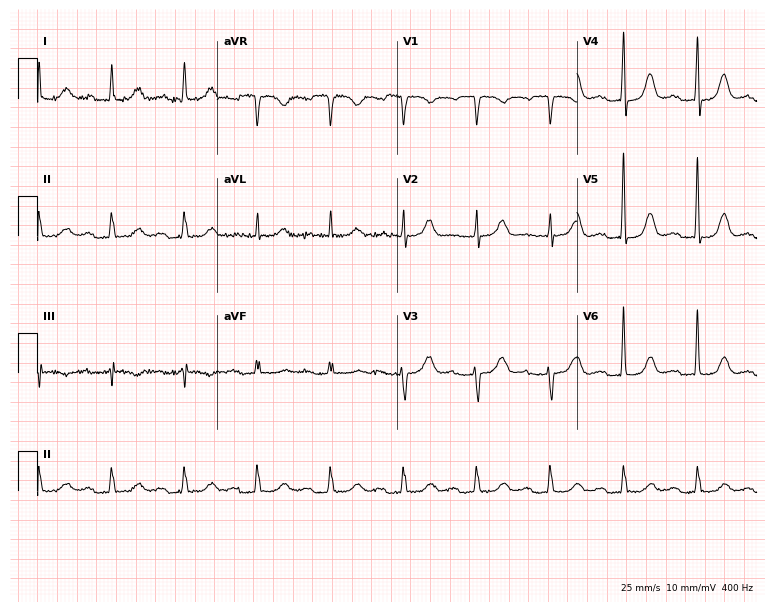
Standard 12-lead ECG recorded from a male, 71 years old (7.3-second recording at 400 Hz). The tracing shows first-degree AV block.